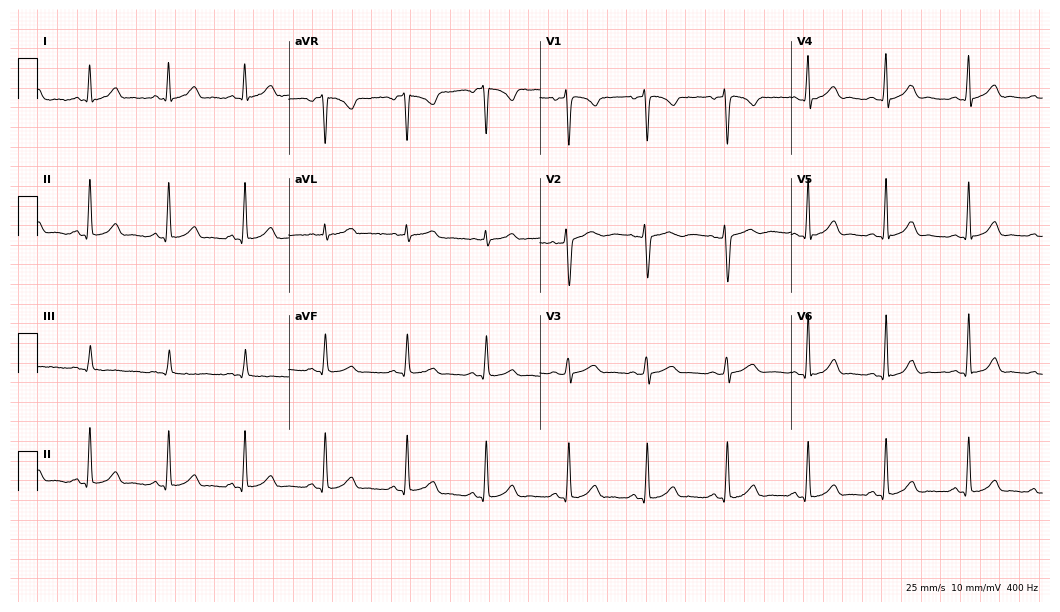
Electrocardiogram, a female patient, 22 years old. Overall reading on record: normal ECG.